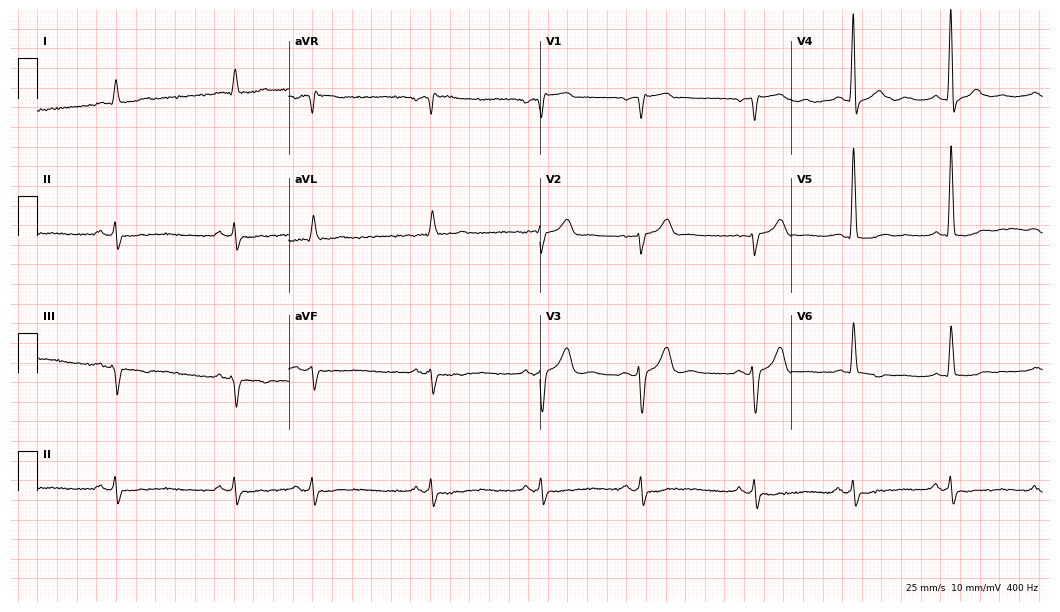
Resting 12-lead electrocardiogram (10.2-second recording at 400 Hz). Patient: a male, 75 years old. None of these six findings is recorded: first-degree AV block, right bundle branch block, left bundle branch block, sinus bradycardia, atrial fibrillation, sinus tachycardia. Other findings, if any, are not listed.